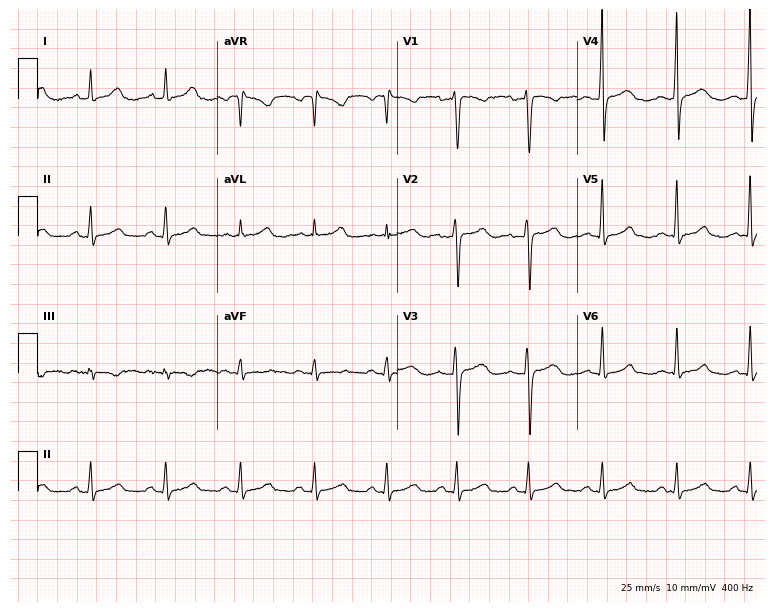
ECG — a female, 39 years old. Screened for six findings — first-degree AV block, right bundle branch block, left bundle branch block, sinus bradycardia, atrial fibrillation, sinus tachycardia — none is recorded. Other findings, if any, are not listed.